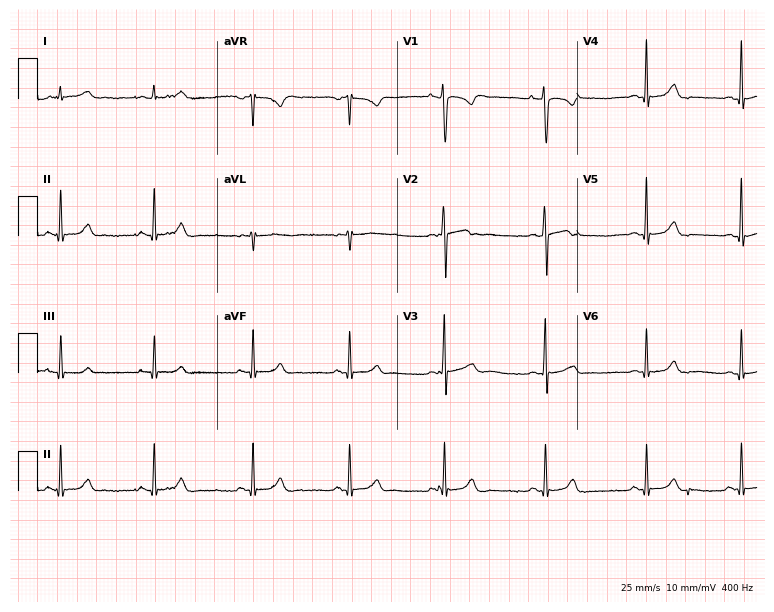
12-lead ECG from a male, 25 years old. Labelled as a normal ECG.